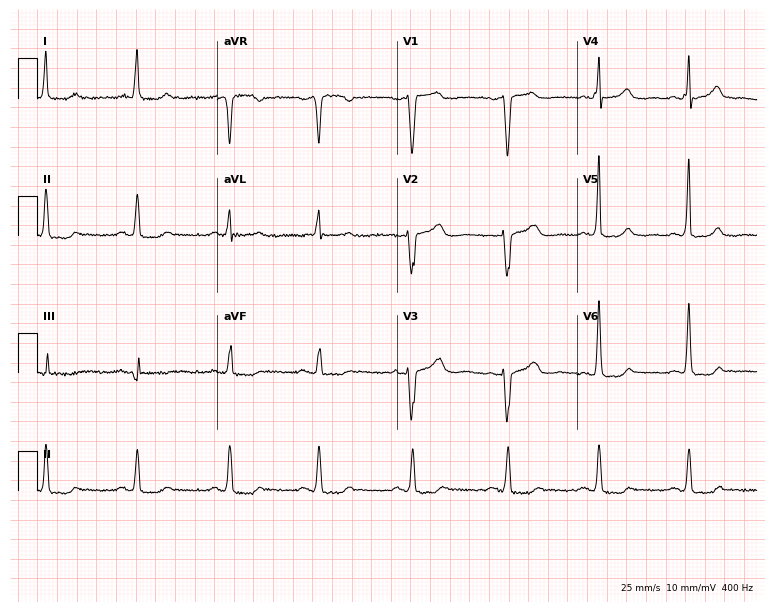
12-lead ECG from a female patient, 69 years old. Labelled as a normal ECG.